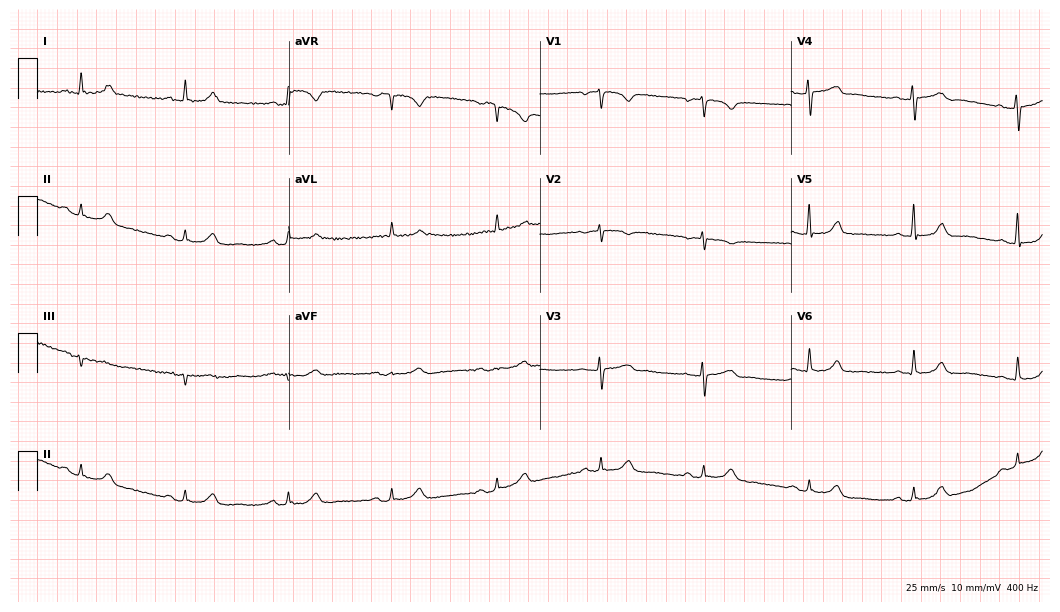
Standard 12-lead ECG recorded from a female patient, 53 years old. Read as a normal ECG.